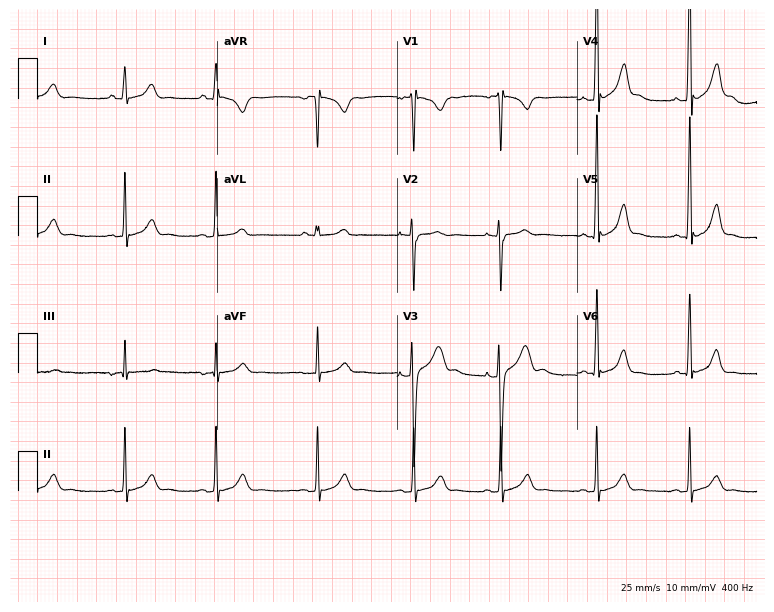
12-lead ECG (7.3-second recording at 400 Hz) from a male patient, 18 years old. Labelled as a normal ECG.